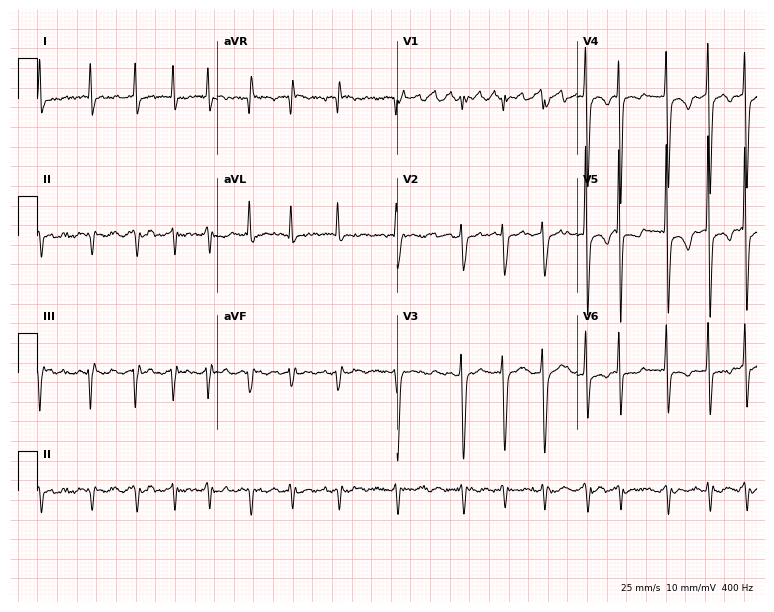
ECG — a male patient, 83 years old. Screened for six findings — first-degree AV block, right bundle branch block, left bundle branch block, sinus bradycardia, atrial fibrillation, sinus tachycardia — none is recorded.